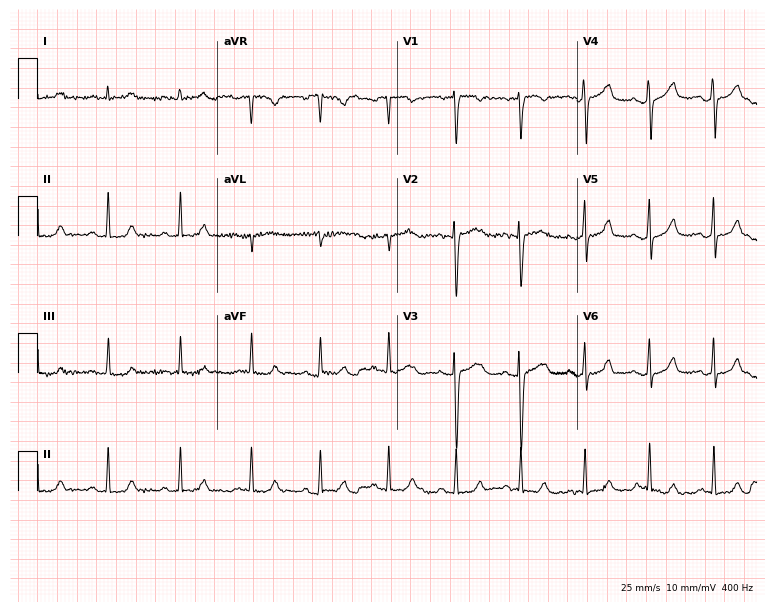
12-lead ECG (7.3-second recording at 400 Hz) from a 30-year-old female patient. Labelled as a normal ECG.